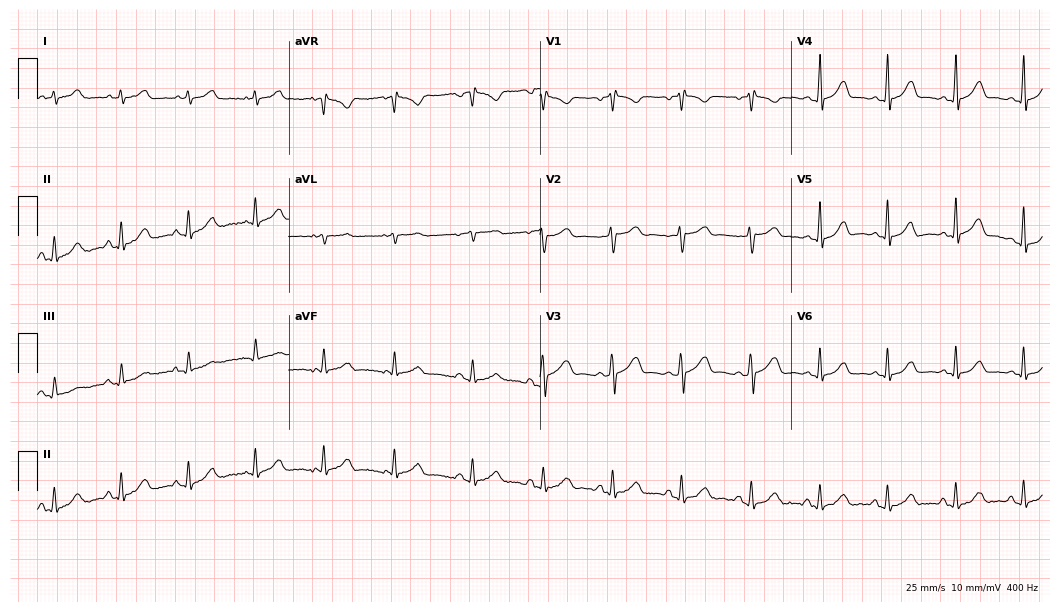
12-lead ECG from a 34-year-old female. Labelled as a normal ECG.